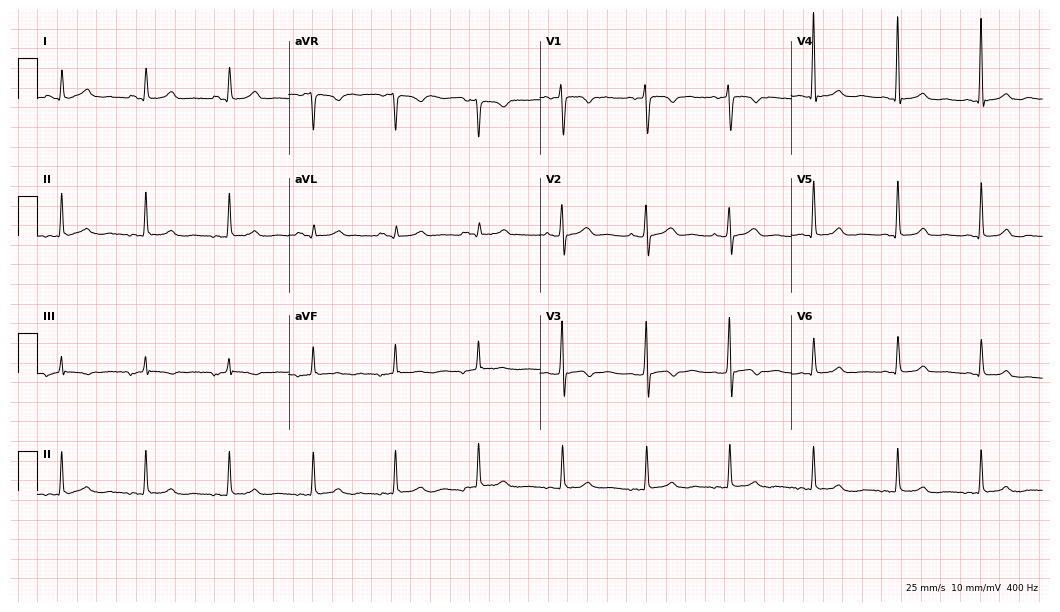
Standard 12-lead ECG recorded from a female patient, 42 years old. None of these six findings is recorded: first-degree AV block, right bundle branch block, left bundle branch block, sinus bradycardia, atrial fibrillation, sinus tachycardia.